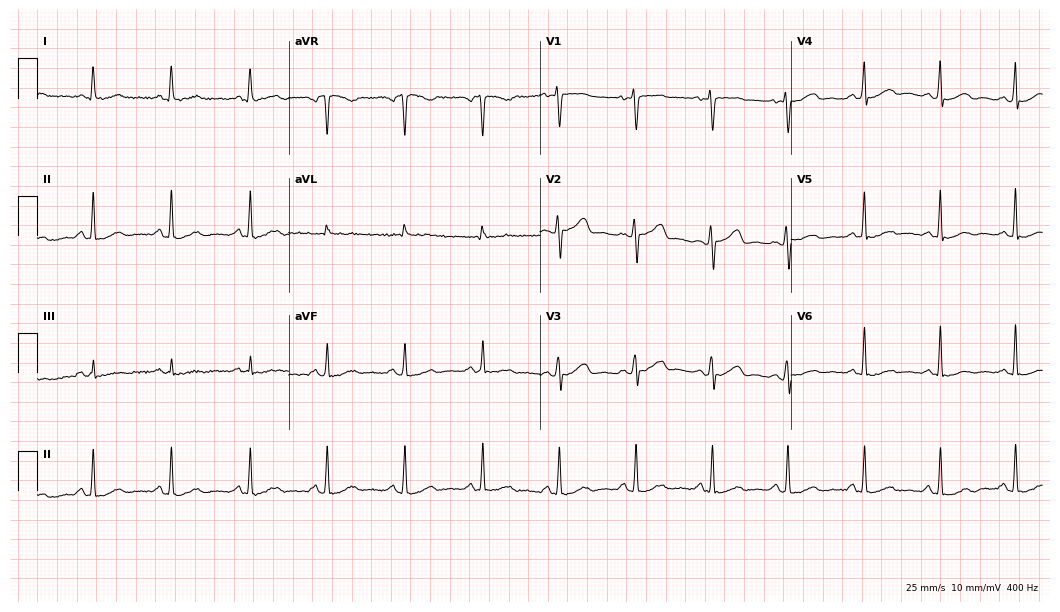
12-lead ECG from a 41-year-old female. Recorded interpretation: within normal limits.